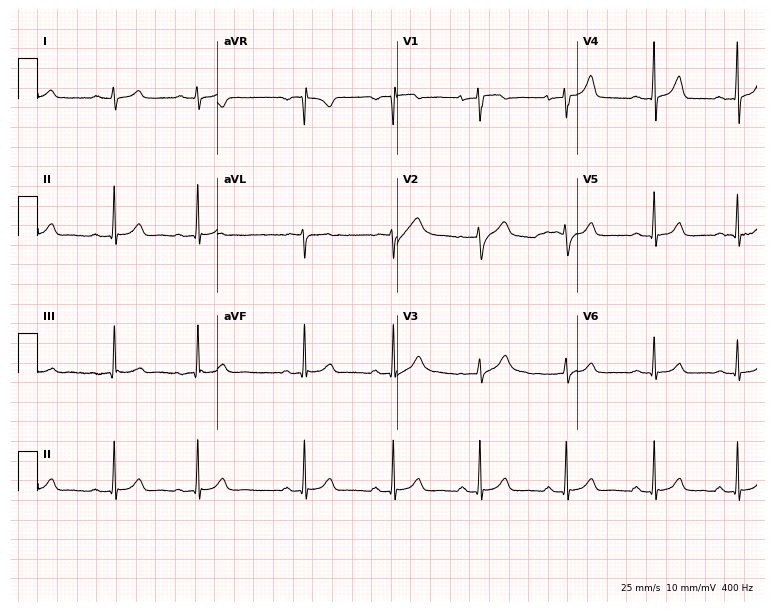
Standard 12-lead ECG recorded from a female patient, 24 years old (7.3-second recording at 400 Hz). Read as a normal ECG.